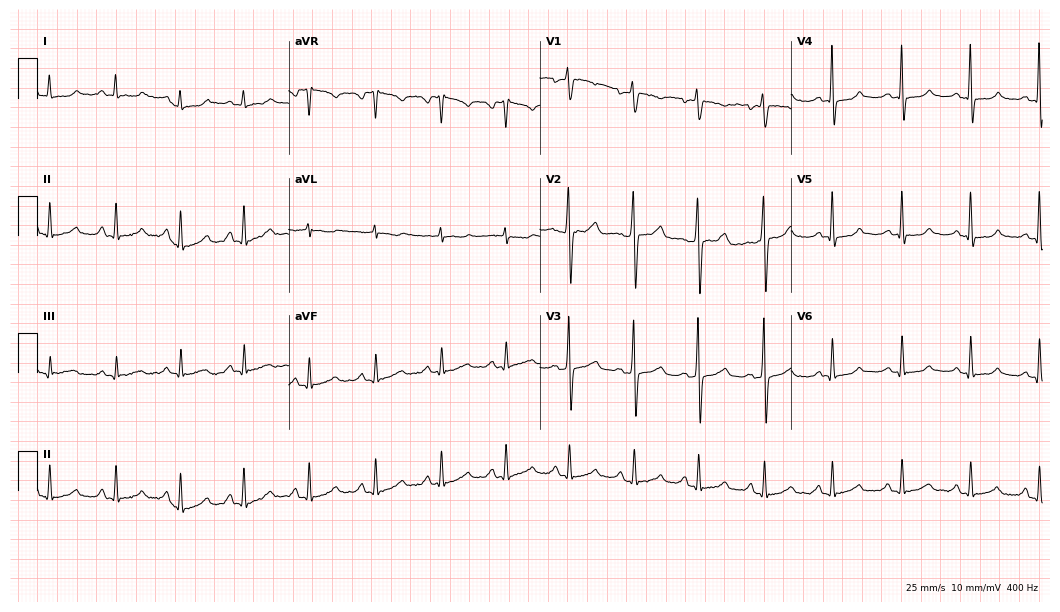
ECG — a female patient, 36 years old. Labelled as a normal ECG.